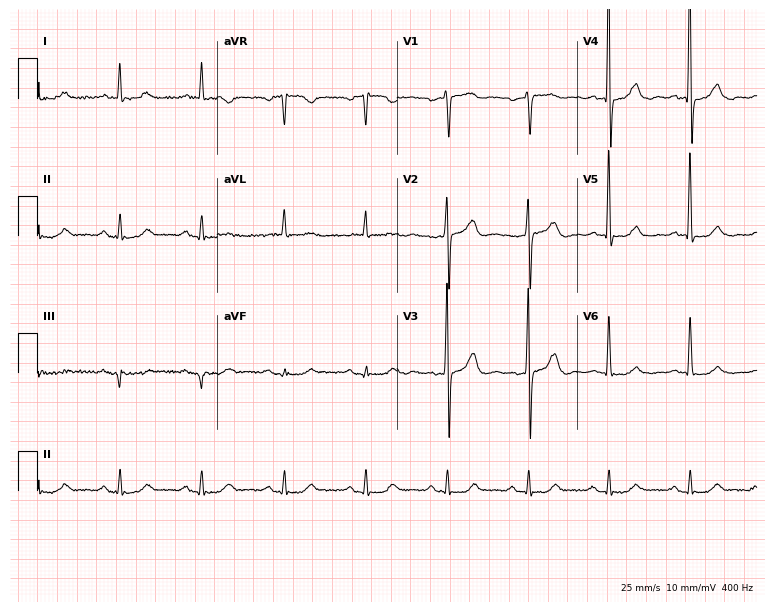
Resting 12-lead electrocardiogram. Patient: a male, 81 years old. None of these six findings is recorded: first-degree AV block, right bundle branch block, left bundle branch block, sinus bradycardia, atrial fibrillation, sinus tachycardia.